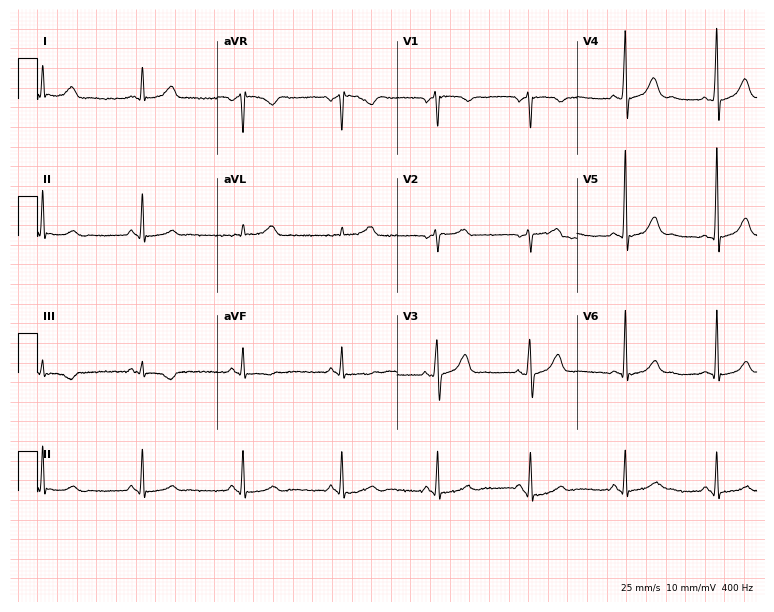
ECG — a 59-year-old man. Labelled as a normal ECG.